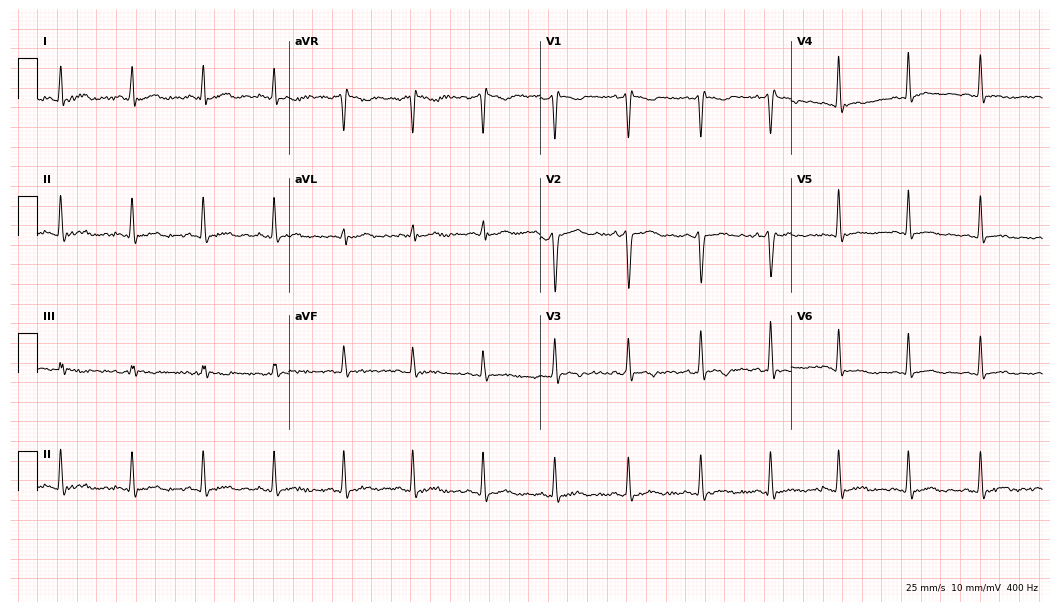
Resting 12-lead electrocardiogram. Patient: a male, 21 years old. None of these six findings is recorded: first-degree AV block, right bundle branch block, left bundle branch block, sinus bradycardia, atrial fibrillation, sinus tachycardia. Findings outside these six are not listed.